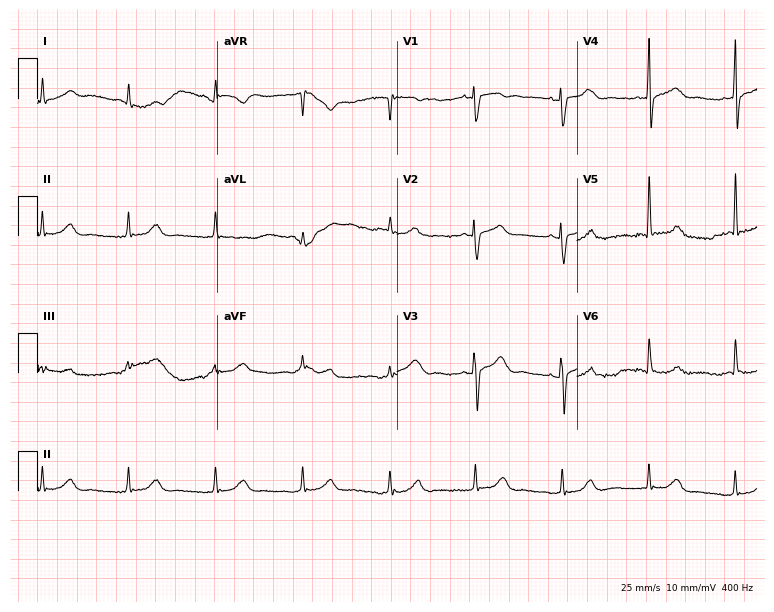
Electrocardiogram (7.3-second recording at 400 Hz), a male patient, 54 years old. Overall reading on record: normal ECG.